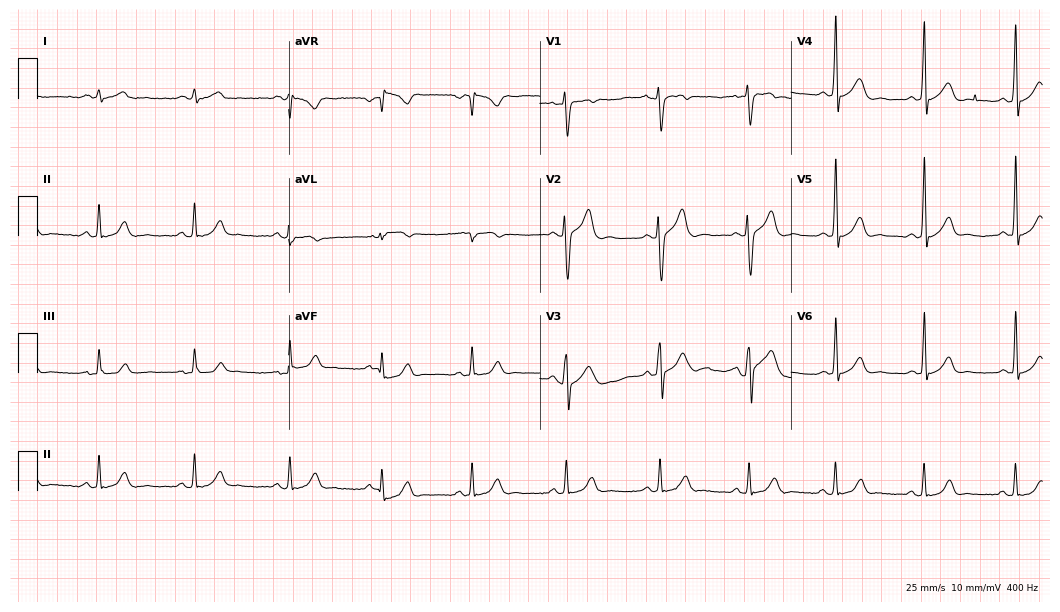
12-lead ECG from a male patient, 30 years old. Recorded interpretation: within normal limits.